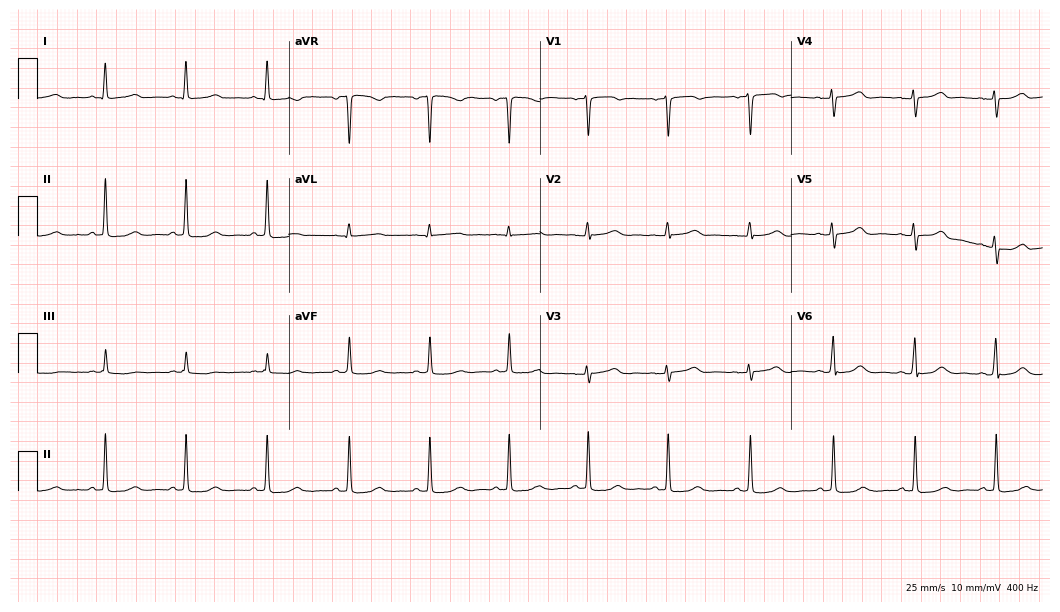
Resting 12-lead electrocardiogram (10.2-second recording at 400 Hz). Patient: a 57-year-old female. Read as a normal ECG.